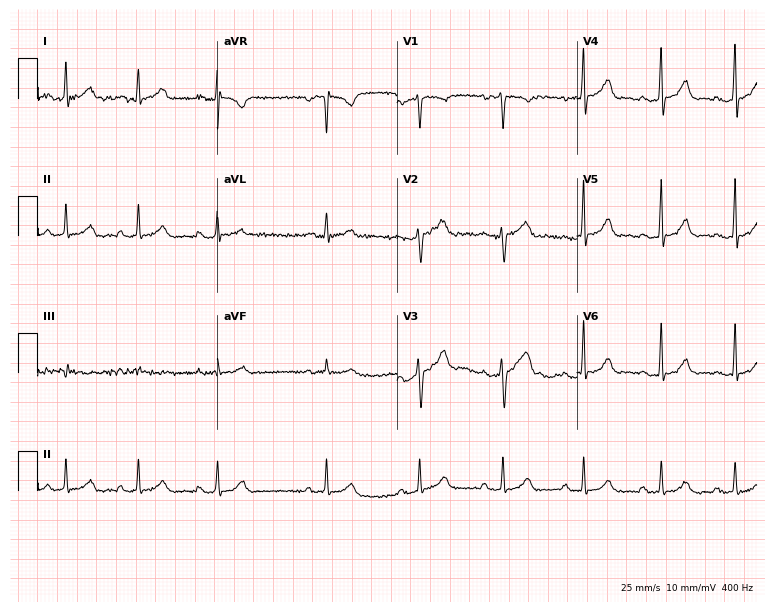
ECG — a 19-year-old woman. Labelled as a normal ECG.